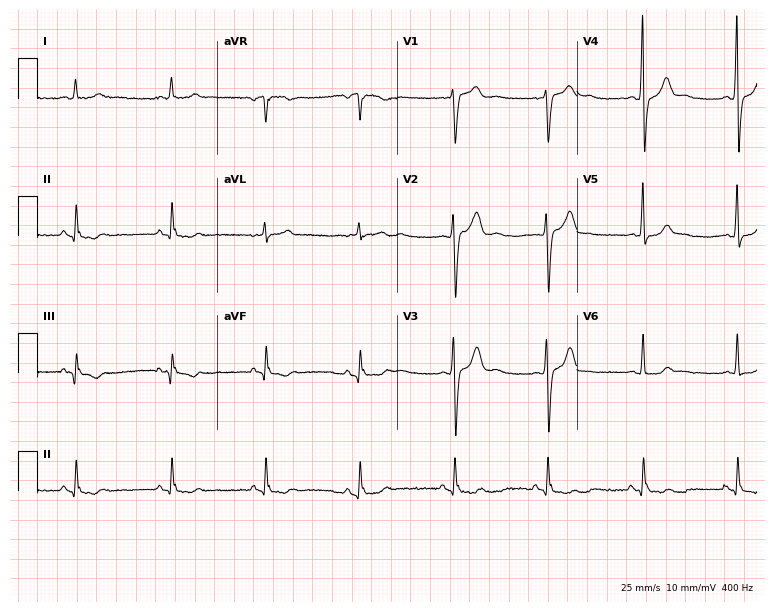
12-lead ECG from a male, 66 years old. Screened for six findings — first-degree AV block, right bundle branch block, left bundle branch block, sinus bradycardia, atrial fibrillation, sinus tachycardia — none is recorded. Other findings, if any, are not listed.